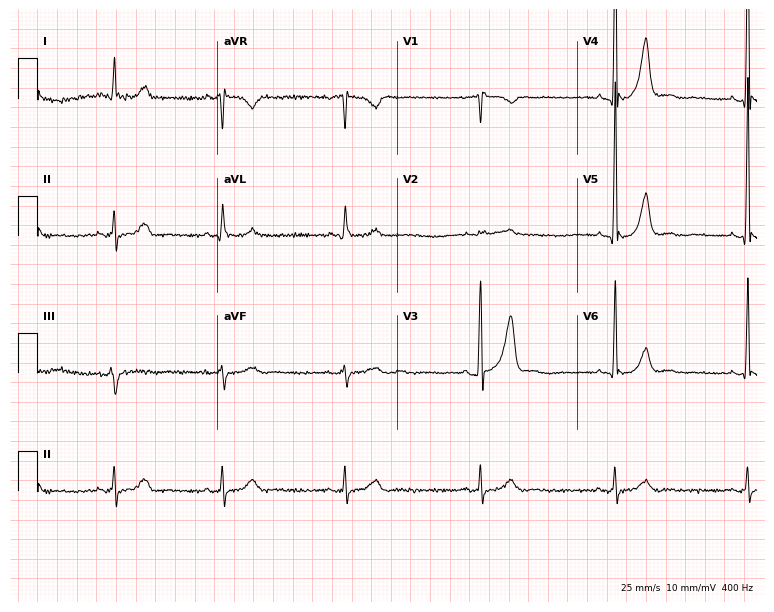
Electrocardiogram, a 71-year-old man. Interpretation includes sinus bradycardia (a sinus rate of 50 beats per minute or less).